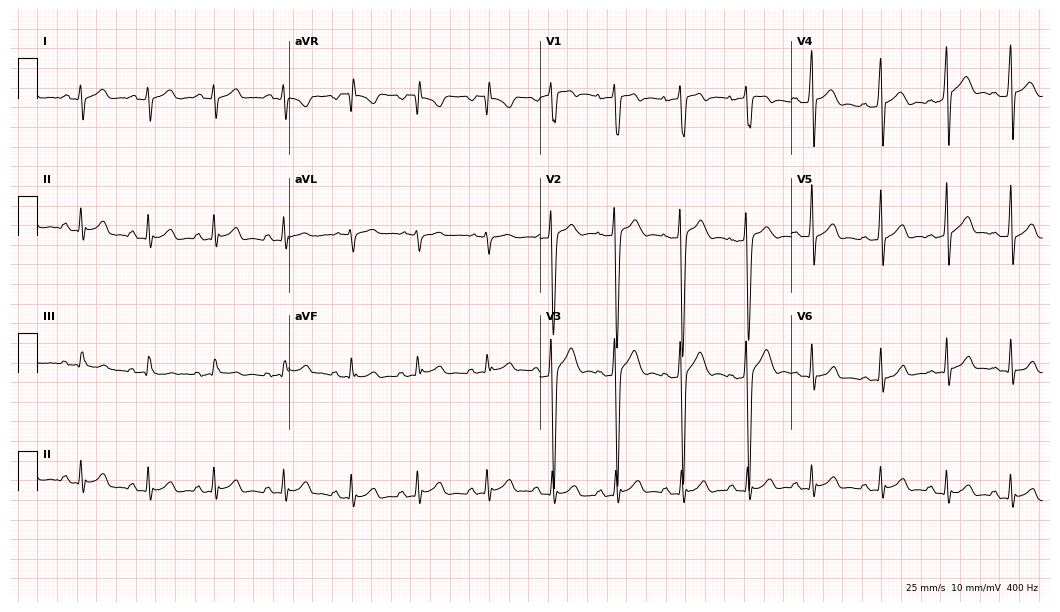
Resting 12-lead electrocardiogram. Patient: a 17-year-old male. Read as a normal ECG.